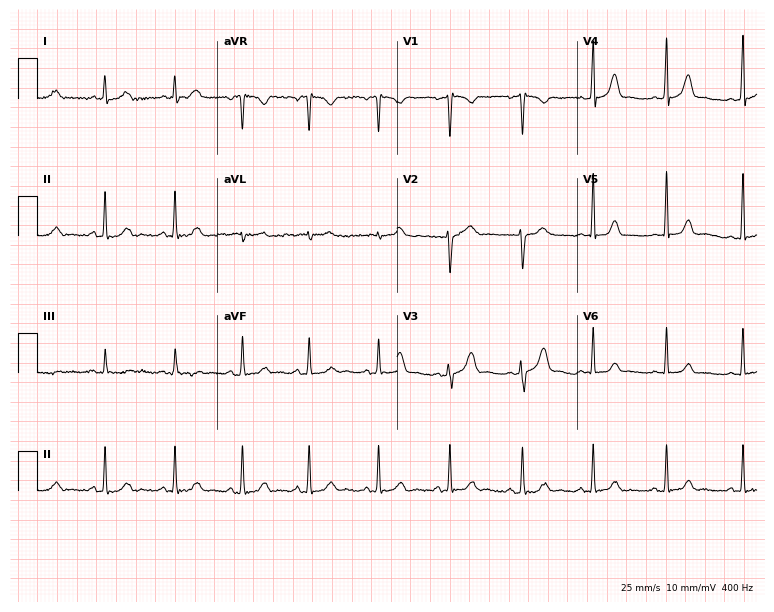
Electrocardiogram, a woman, 28 years old. Overall reading on record: normal ECG.